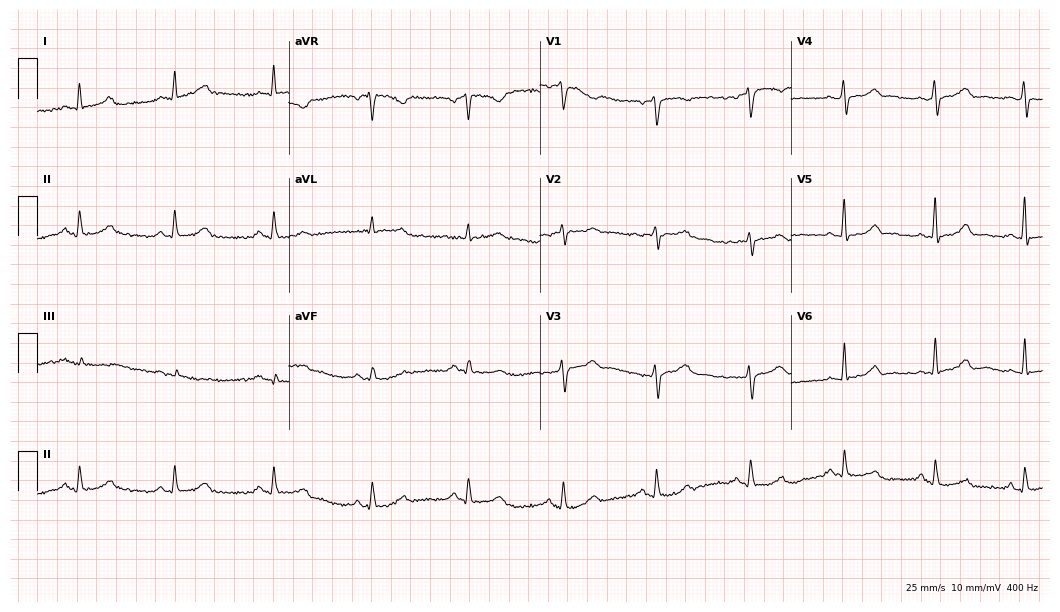
12-lead ECG from a woman, 42 years old (10.2-second recording at 400 Hz). Recorded interpretation: within normal limits.